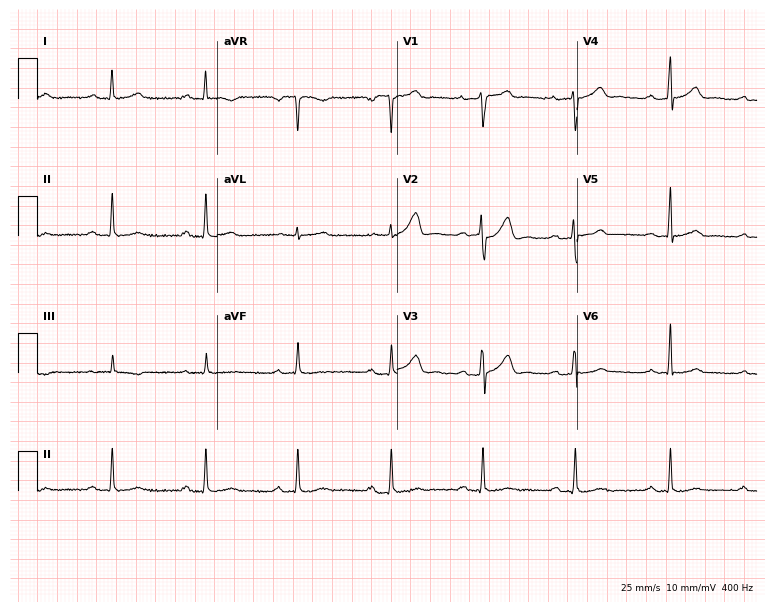
12-lead ECG from a 41-year-old male patient. Screened for six findings — first-degree AV block, right bundle branch block (RBBB), left bundle branch block (LBBB), sinus bradycardia, atrial fibrillation (AF), sinus tachycardia — none is recorded.